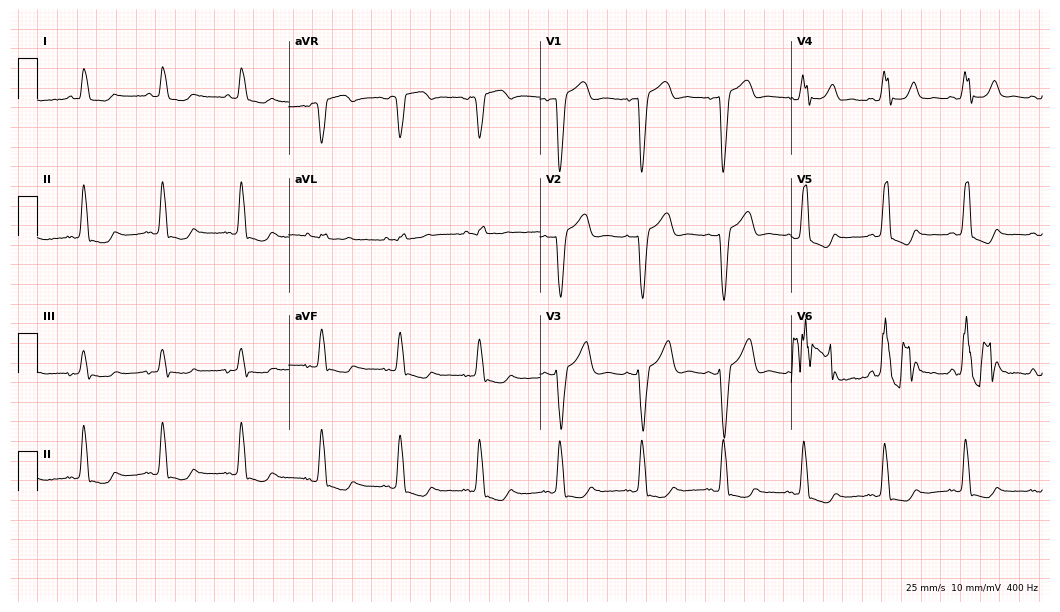
ECG (10.2-second recording at 400 Hz) — a female patient, 78 years old. Findings include left bundle branch block.